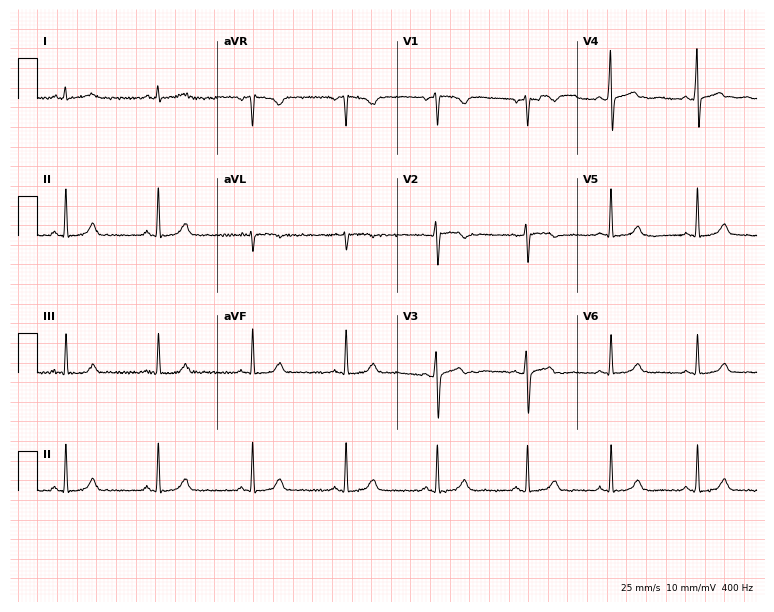
ECG (7.3-second recording at 400 Hz) — a 42-year-old female. Labelled as a normal ECG.